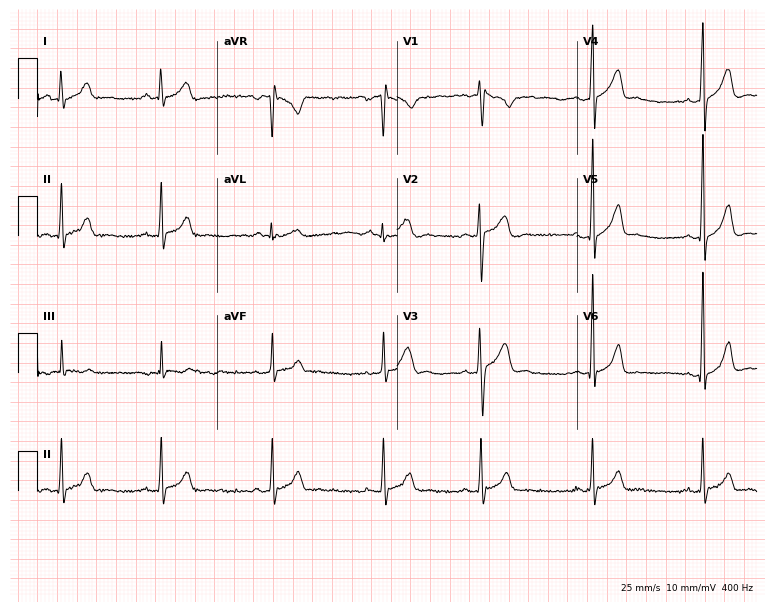
Electrocardiogram (7.3-second recording at 400 Hz), an 18-year-old male patient. Overall reading on record: normal ECG.